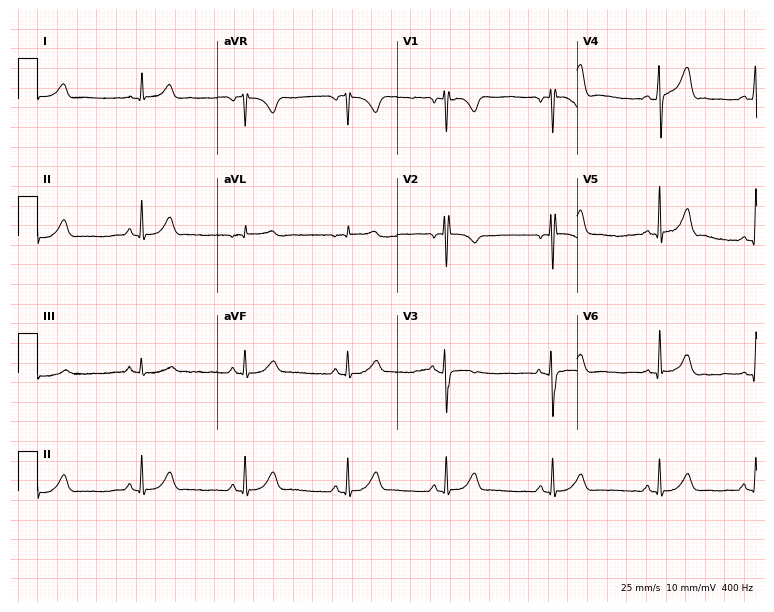
Electrocardiogram, a 33-year-old male. Overall reading on record: normal ECG.